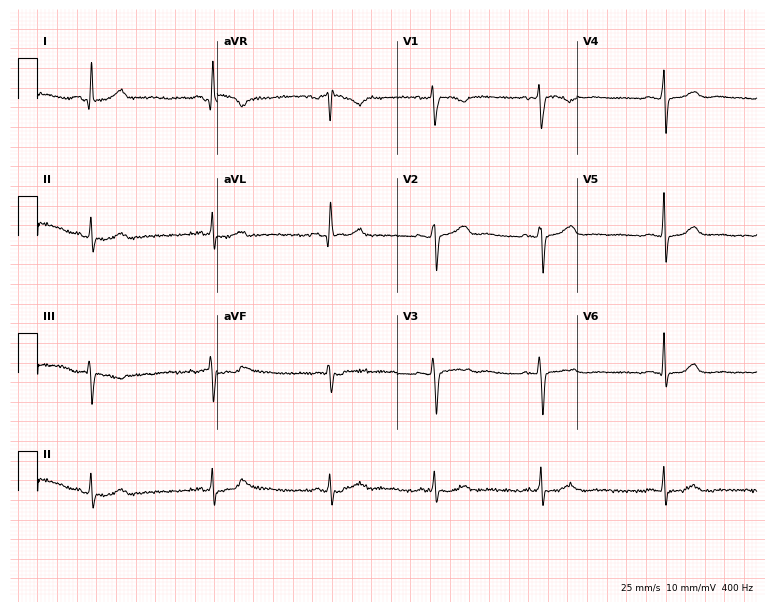
Electrocardiogram, a 31-year-old woman. Of the six screened findings (first-degree AV block, right bundle branch block, left bundle branch block, sinus bradycardia, atrial fibrillation, sinus tachycardia), none is recorded. Other findings, if any, are not listed.